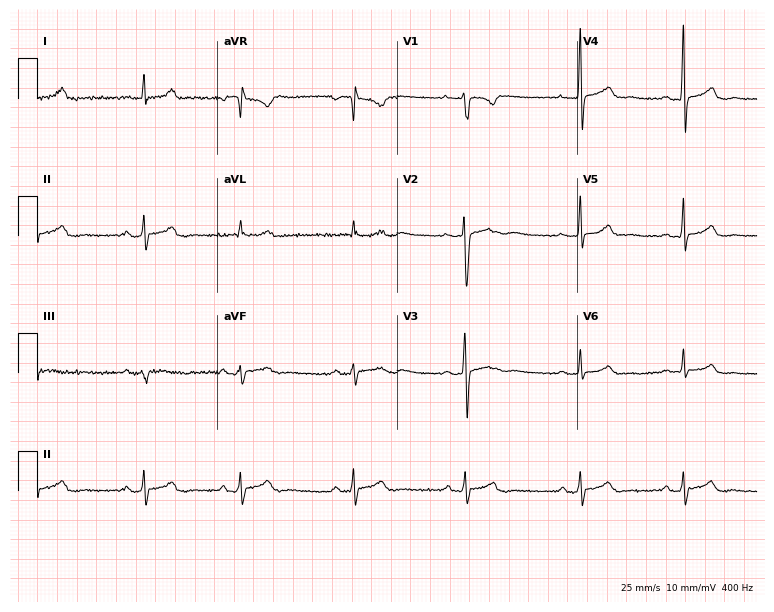
Resting 12-lead electrocardiogram (7.3-second recording at 400 Hz). Patient: a female, 20 years old. None of these six findings is recorded: first-degree AV block, right bundle branch block, left bundle branch block, sinus bradycardia, atrial fibrillation, sinus tachycardia.